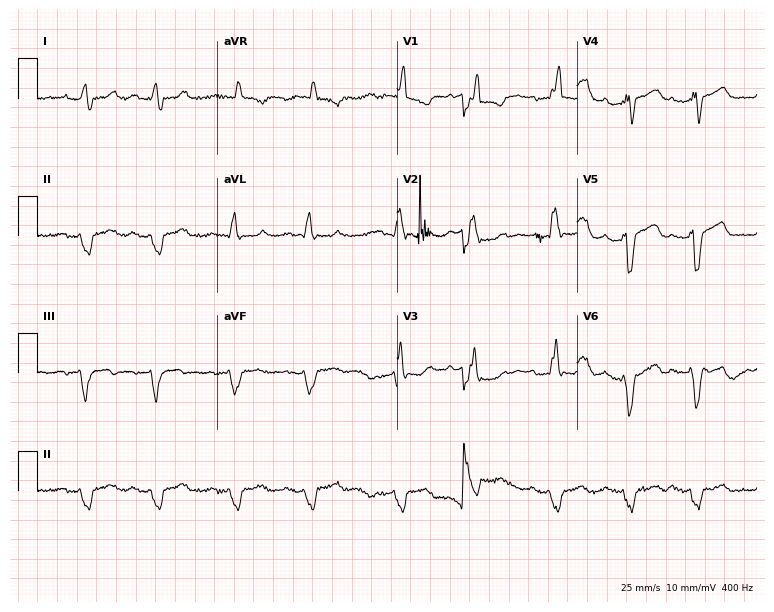
12-lead ECG from a 55-year-old woman (7.3-second recording at 400 Hz). Shows first-degree AV block, right bundle branch block (RBBB).